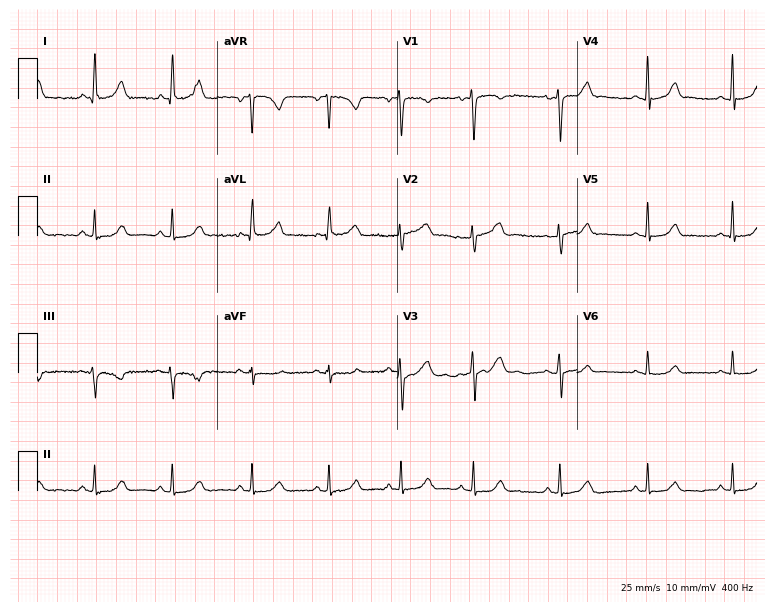
Standard 12-lead ECG recorded from a female patient, 57 years old (7.3-second recording at 400 Hz). Read as a normal ECG.